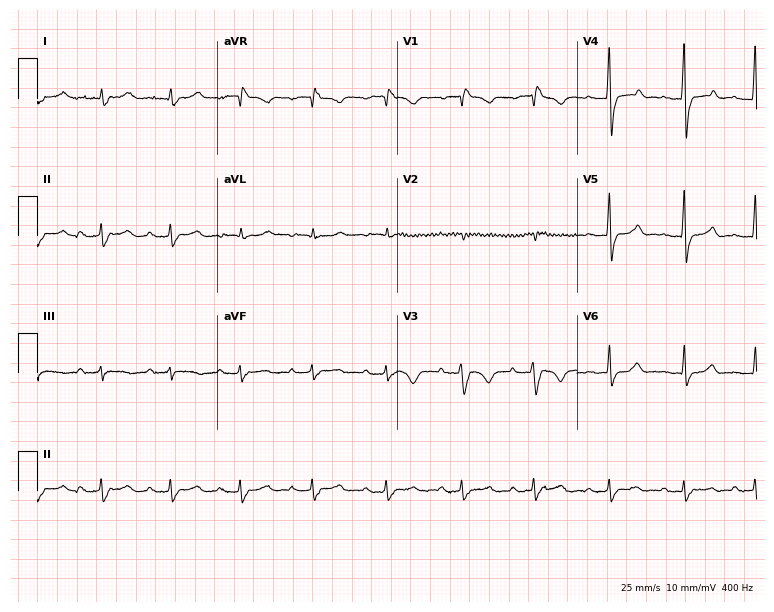
Standard 12-lead ECG recorded from a female patient, 41 years old (7.3-second recording at 400 Hz). The tracing shows first-degree AV block, right bundle branch block (RBBB).